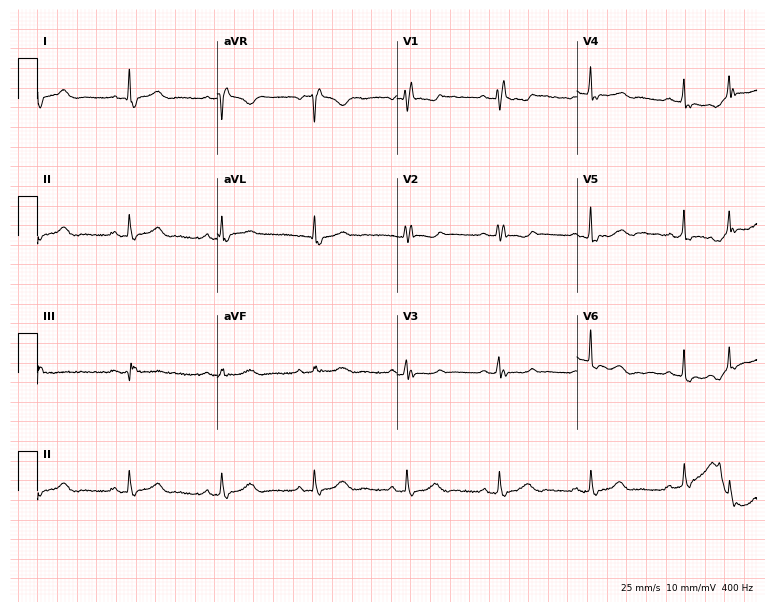
Standard 12-lead ECG recorded from a 52-year-old female patient (7.3-second recording at 400 Hz). None of these six findings is recorded: first-degree AV block, right bundle branch block, left bundle branch block, sinus bradycardia, atrial fibrillation, sinus tachycardia. Other findings, if any, are not listed.